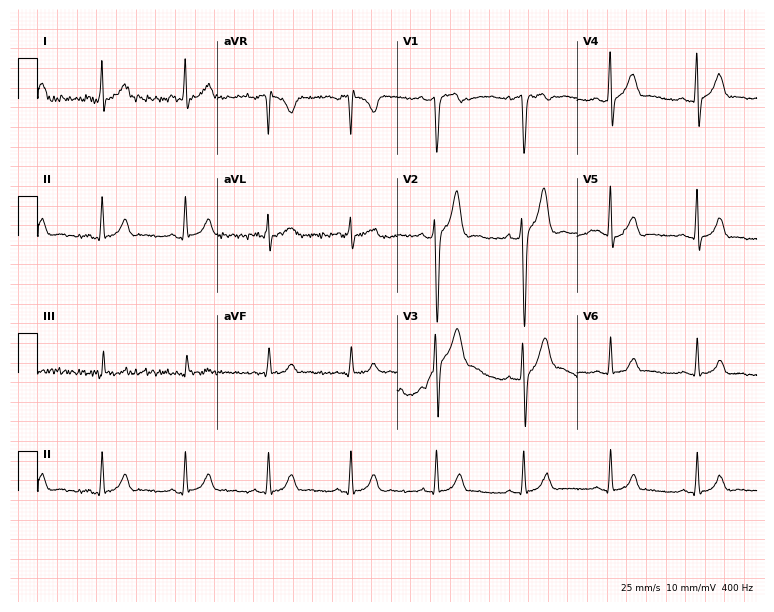
Standard 12-lead ECG recorded from a man, 32 years old. Read as a normal ECG.